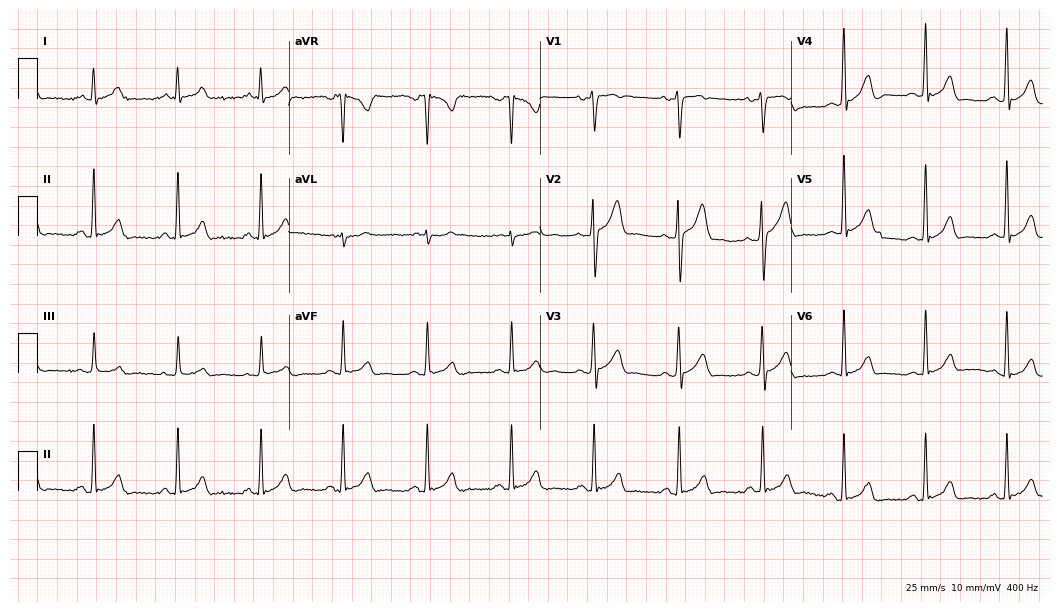
Resting 12-lead electrocardiogram. Patient: a man, 41 years old. Read as a normal ECG.